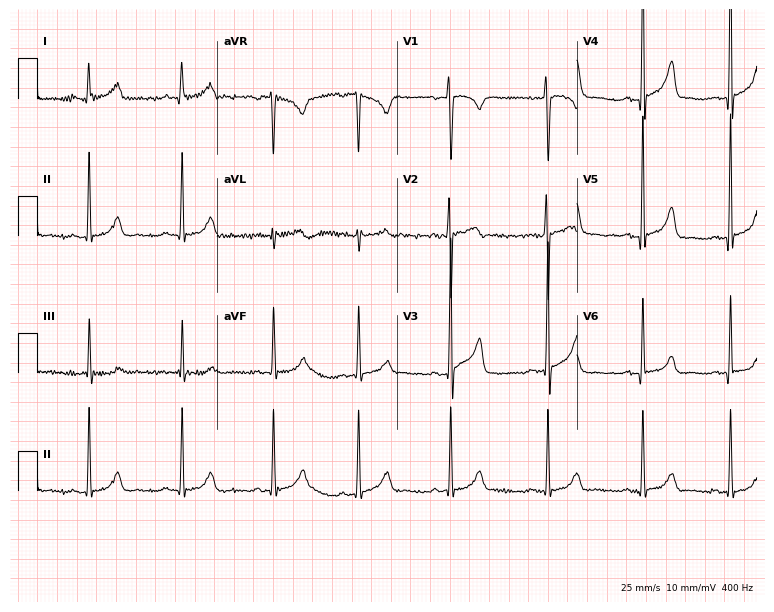
12-lead ECG from a 21-year-old male. Labelled as a normal ECG.